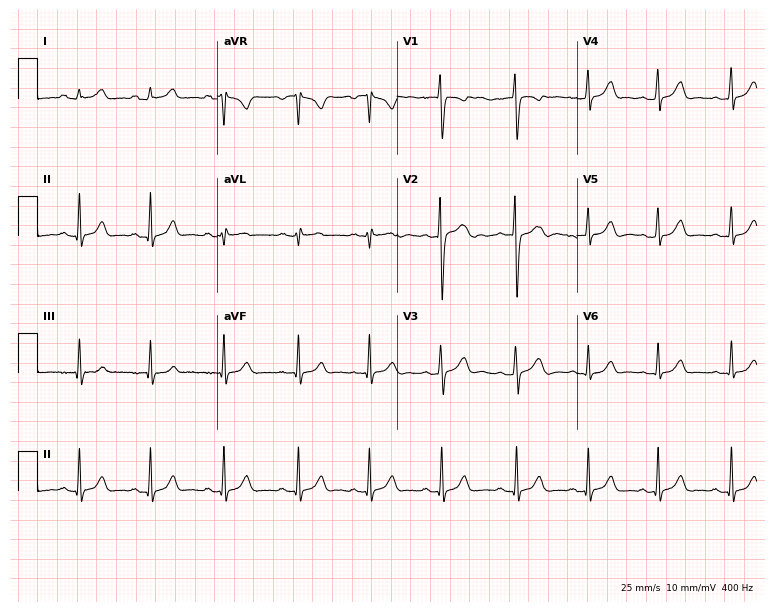
ECG (7.3-second recording at 400 Hz) — a female, 19 years old. Labelled as a normal ECG.